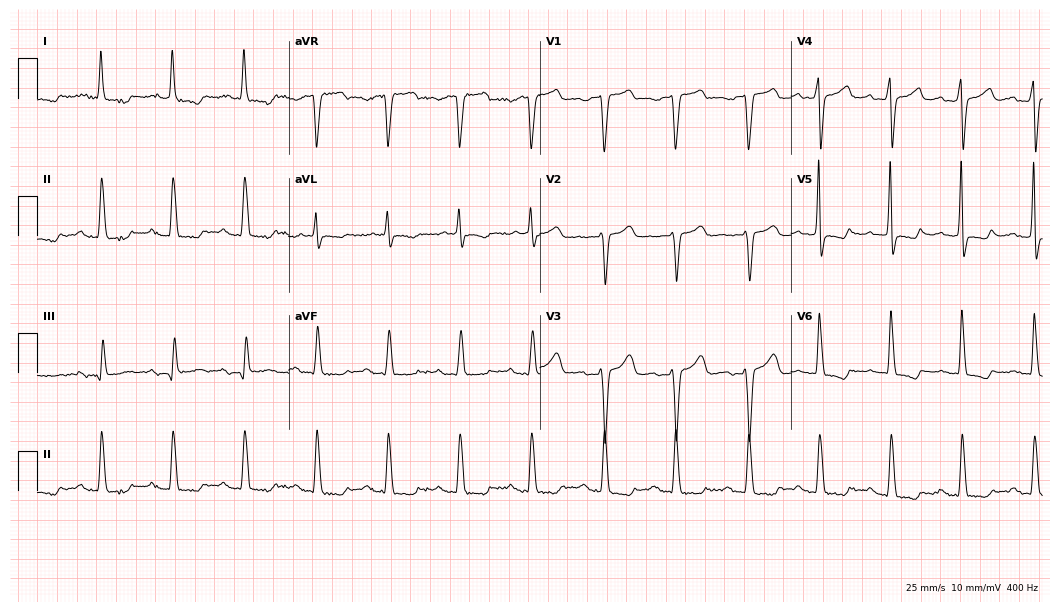
Resting 12-lead electrocardiogram (10.2-second recording at 400 Hz). Patient: a female, 66 years old. None of these six findings is recorded: first-degree AV block, right bundle branch block, left bundle branch block, sinus bradycardia, atrial fibrillation, sinus tachycardia.